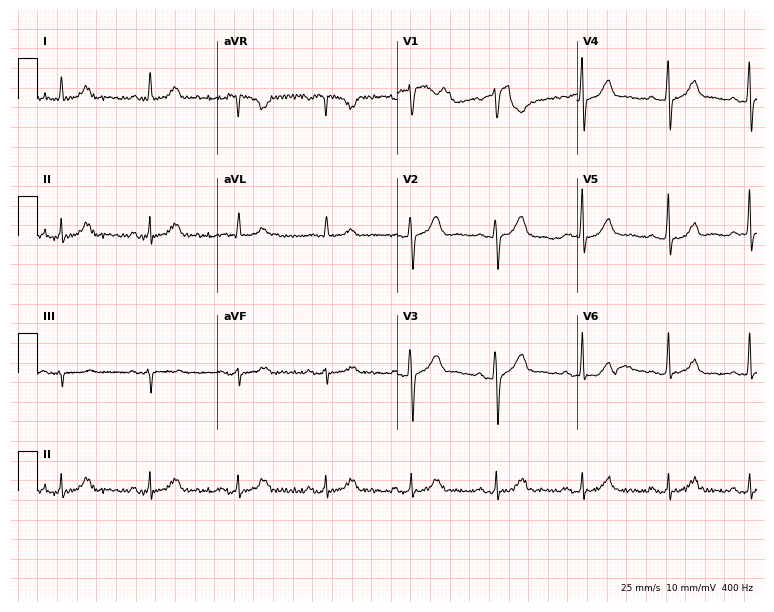
Resting 12-lead electrocardiogram (7.3-second recording at 400 Hz). Patient: a man, 46 years old. Read as a normal ECG.